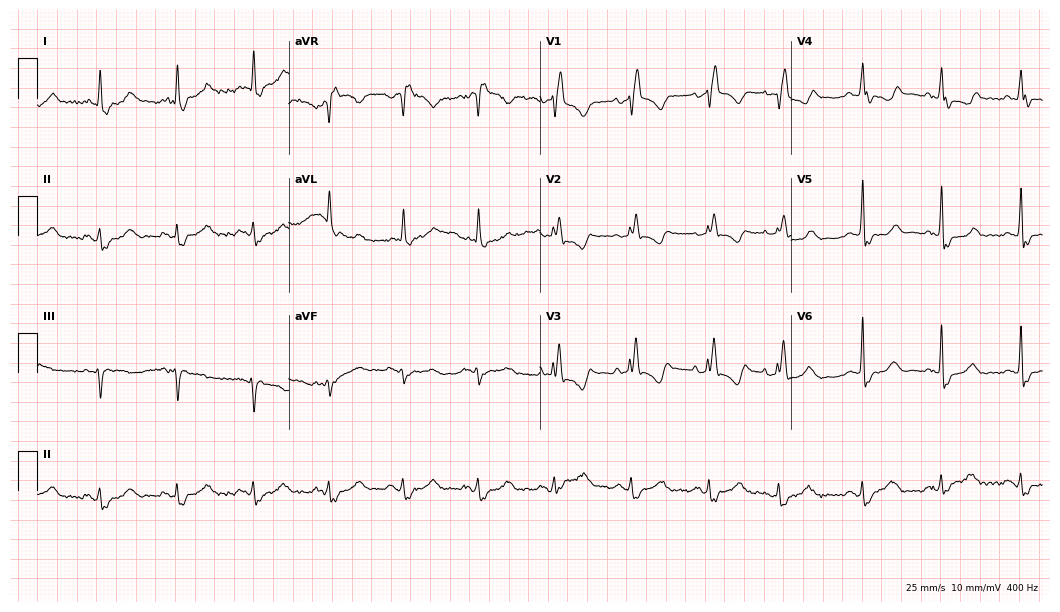
Resting 12-lead electrocardiogram. Patient: a female, 76 years old. None of these six findings is recorded: first-degree AV block, right bundle branch block, left bundle branch block, sinus bradycardia, atrial fibrillation, sinus tachycardia. Findings outside these six are not listed.